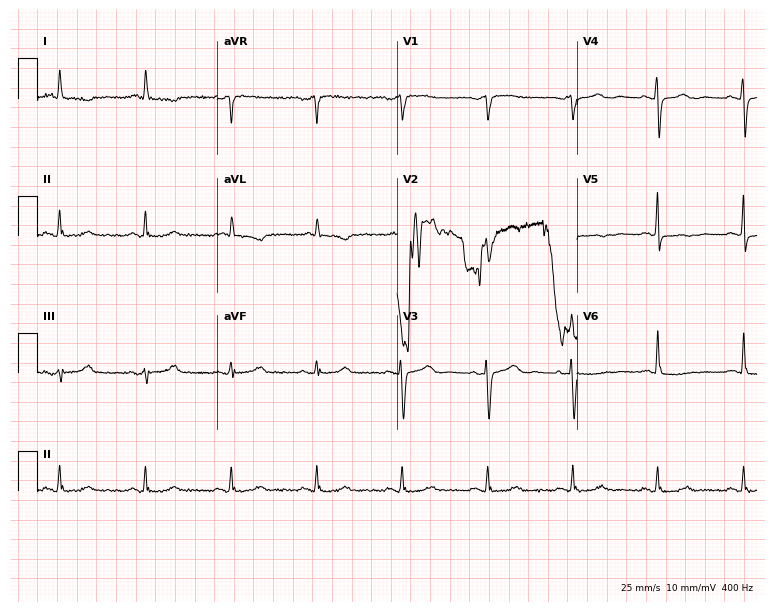
Resting 12-lead electrocardiogram (7.3-second recording at 400 Hz). Patient: a 75-year-old female. None of these six findings is recorded: first-degree AV block, right bundle branch block, left bundle branch block, sinus bradycardia, atrial fibrillation, sinus tachycardia.